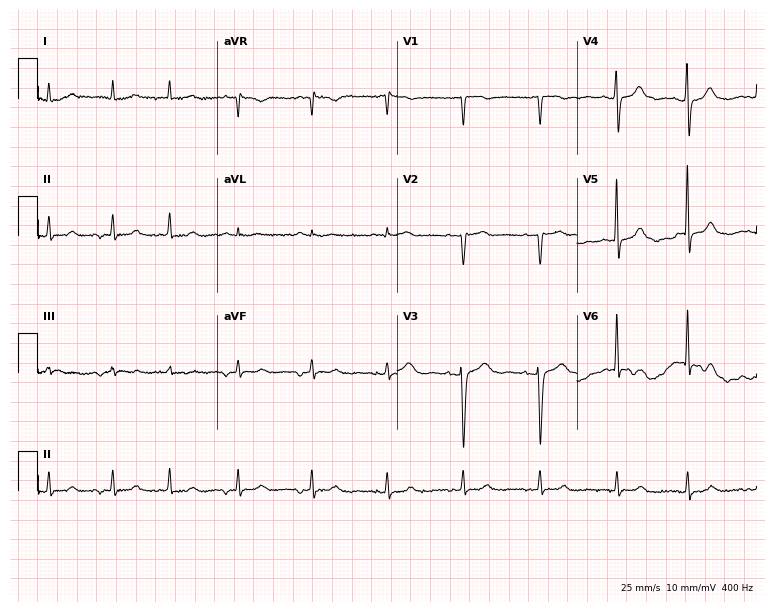
Electrocardiogram, a female patient, 85 years old. Of the six screened findings (first-degree AV block, right bundle branch block, left bundle branch block, sinus bradycardia, atrial fibrillation, sinus tachycardia), none is recorded. Other findings, if any, are not listed.